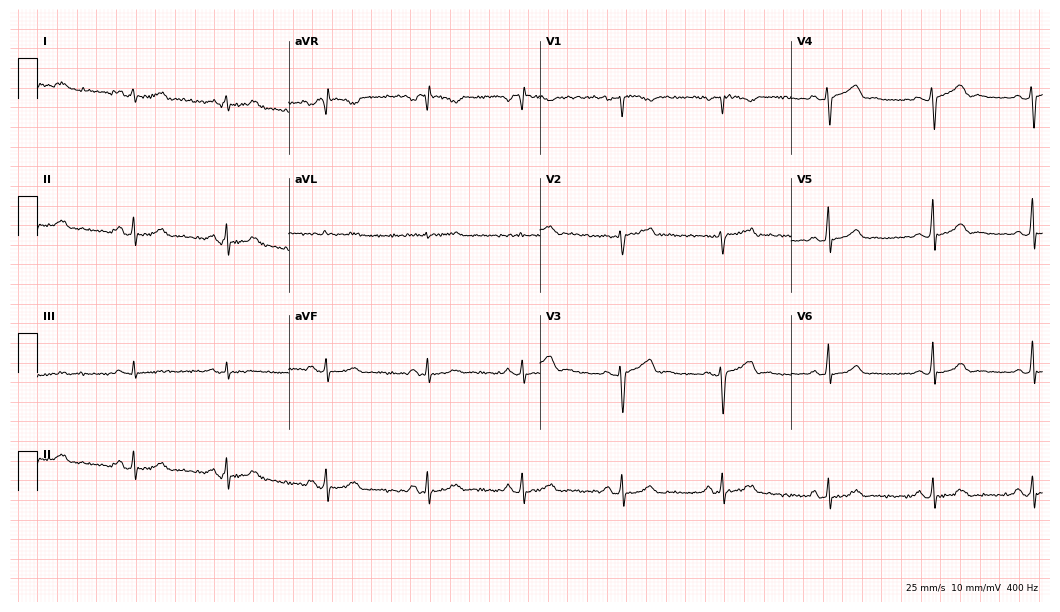
12-lead ECG from a 28-year-old female patient. Recorded interpretation: within normal limits.